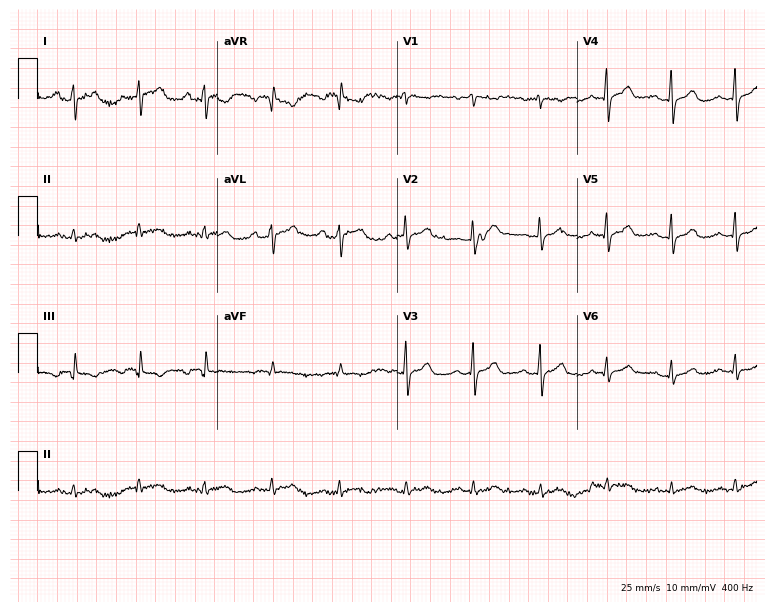
Standard 12-lead ECG recorded from a 48-year-old woman. None of these six findings is recorded: first-degree AV block, right bundle branch block, left bundle branch block, sinus bradycardia, atrial fibrillation, sinus tachycardia. Findings outside these six are not listed.